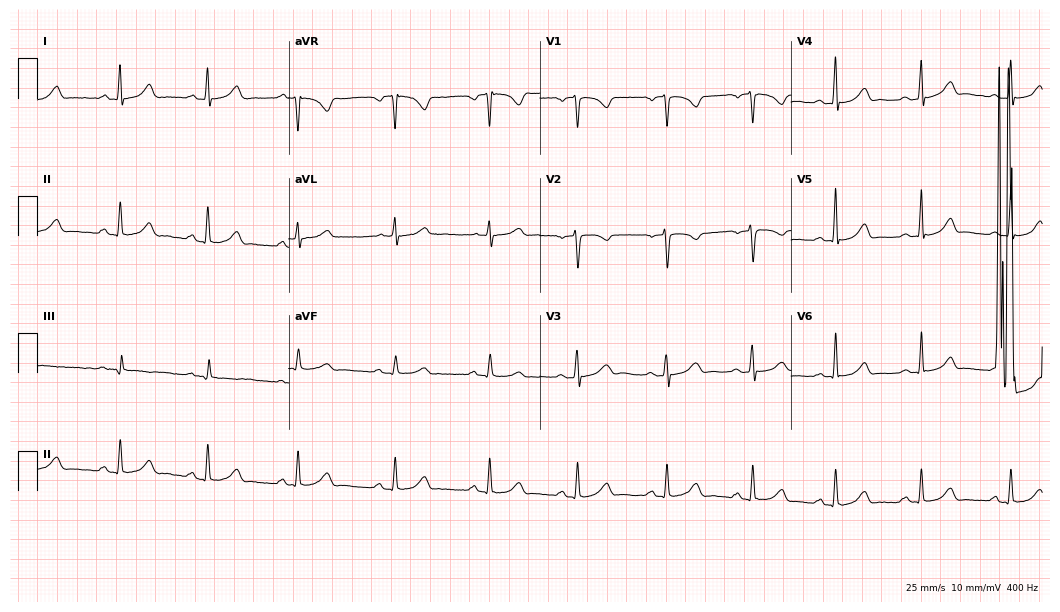
ECG — a 28-year-old female. Labelled as a normal ECG.